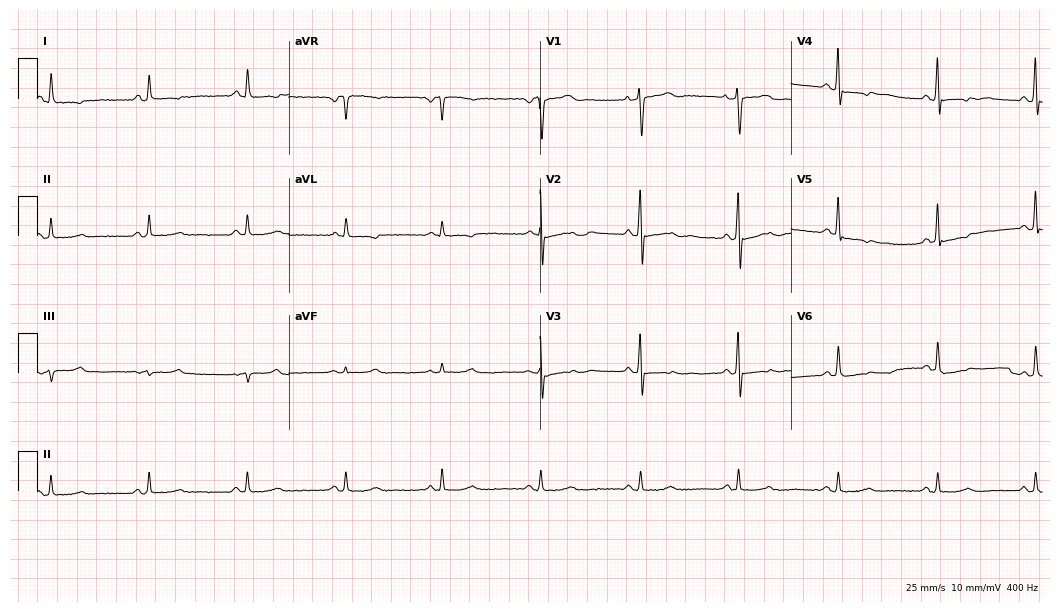
ECG (10.2-second recording at 400 Hz) — a man, 68 years old. Screened for six findings — first-degree AV block, right bundle branch block (RBBB), left bundle branch block (LBBB), sinus bradycardia, atrial fibrillation (AF), sinus tachycardia — none is recorded.